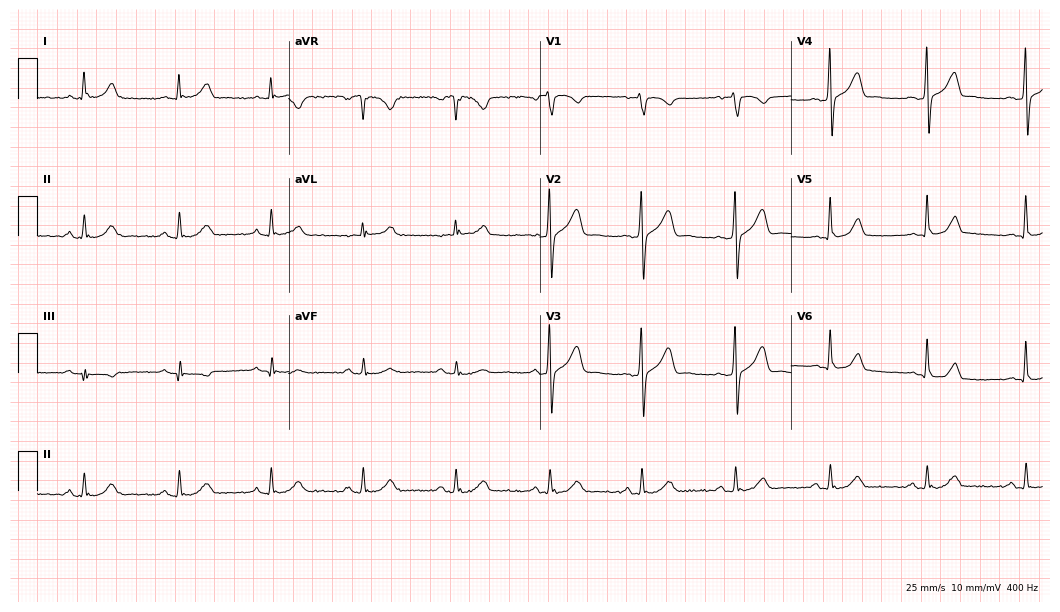
12-lead ECG (10.2-second recording at 400 Hz) from a 46-year-old male patient. Labelled as a normal ECG.